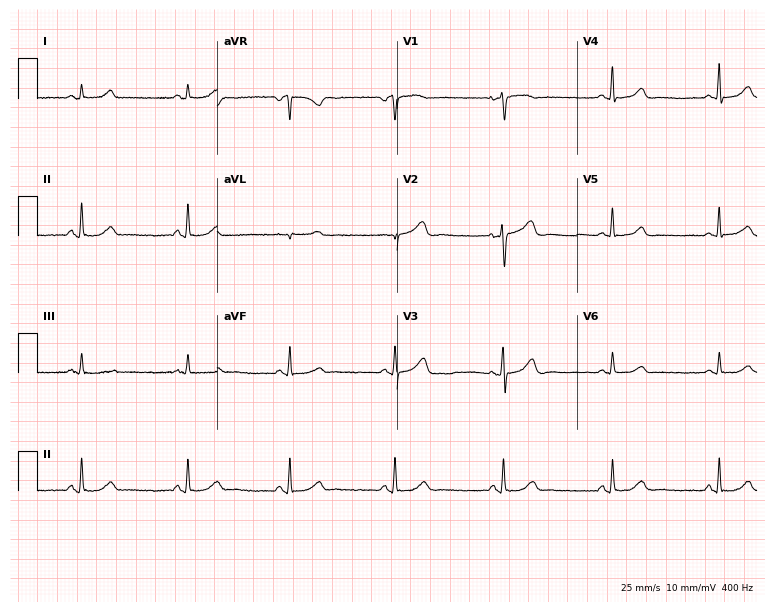
ECG — a female, 60 years old. Labelled as a normal ECG.